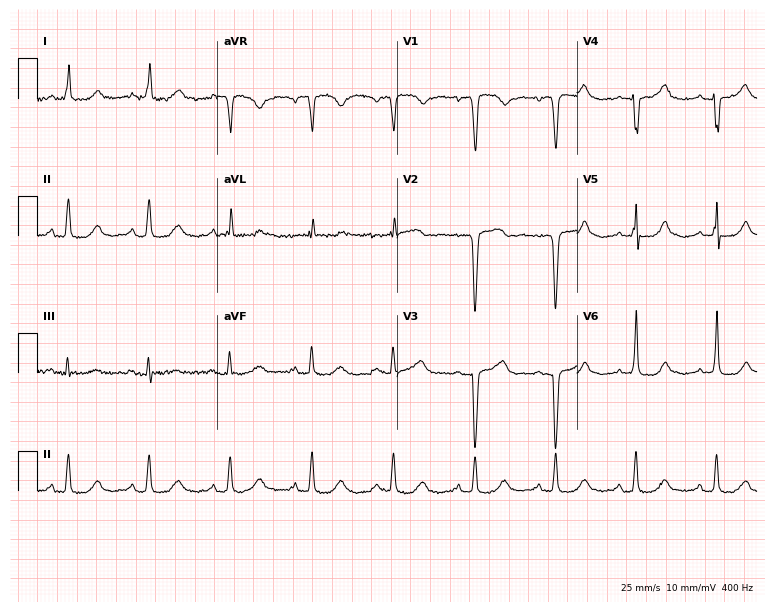
Standard 12-lead ECG recorded from a female patient, 68 years old (7.3-second recording at 400 Hz). None of these six findings is recorded: first-degree AV block, right bundle branch block (RBBB), left bundle branch block (LBBB), sinus bradycardia, atrial fibrillation (AF), sinus tachycardia.